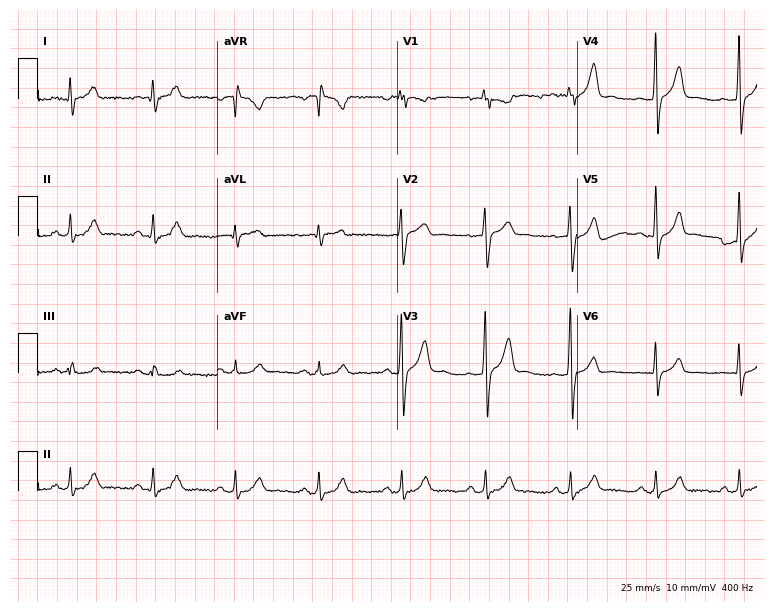
Electrocardiogram, a 36-year-old man. Overall reading on record: normal ECG.